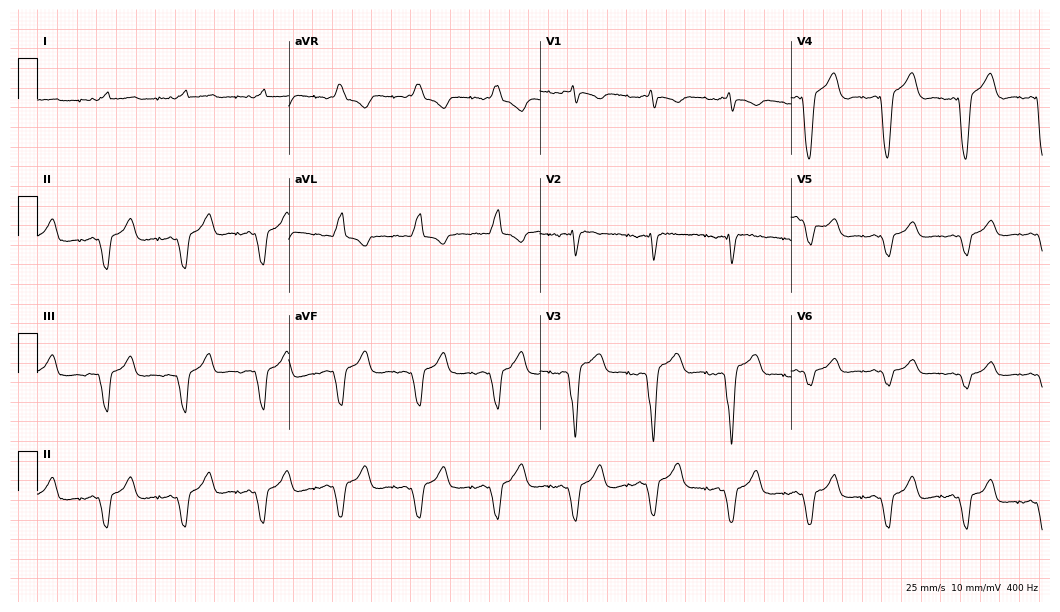
ECG — a 64-year-old female patient. Screened for six findings — first-degree AV block, right bundle branch block (RBBB), left bundle branch block (LBBB), sinus bradycardia, atrial fibrillation (AF), sinus tachycardia — none is recorded.